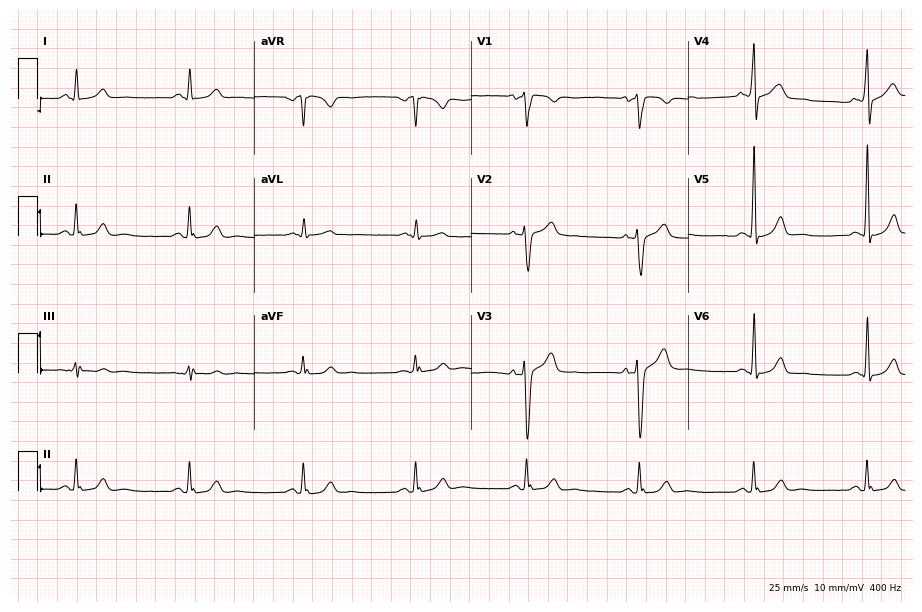
Resting 12-lead electrocardiogram (8.8-second recording at 400 Hz). Patient: a 58-year-old man. None of these six findings is recorded: first-degree AV block, right bundle branch block, left bundle branch block, sinus bradycardia, atrial fibrillation, sinus tachycardia.